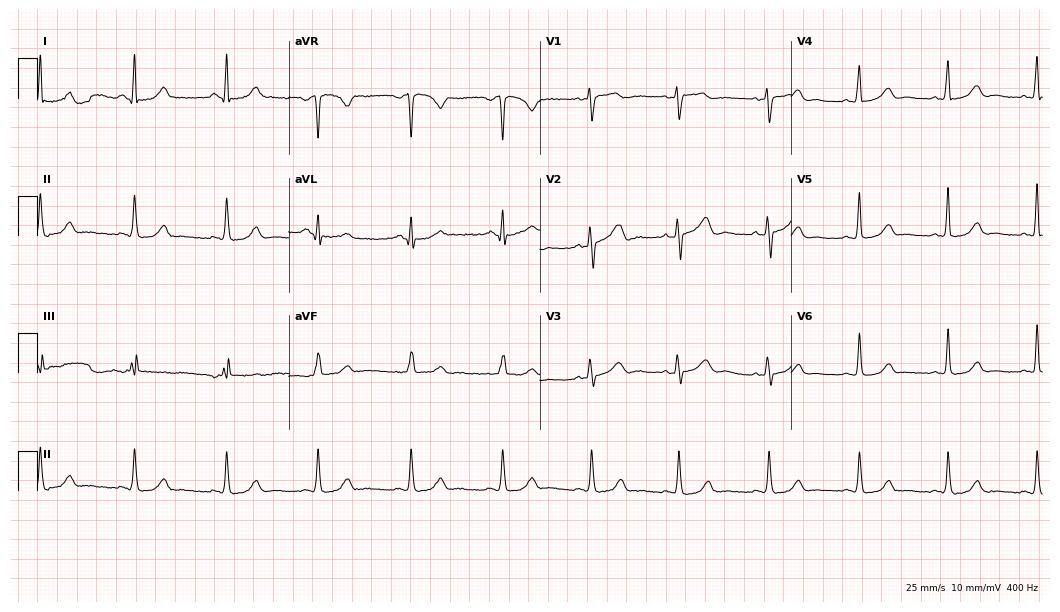
ECG — a female patient, 47 years old. Labelled as a normal ECG.